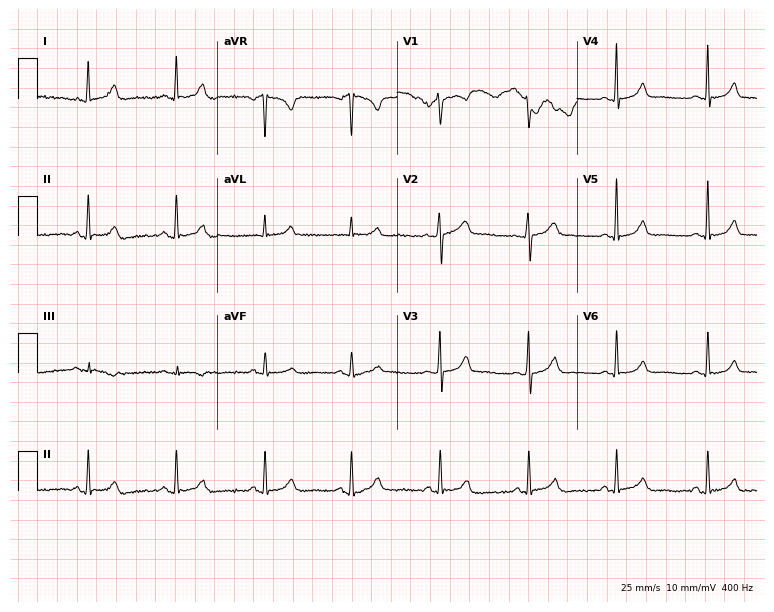
Electrocardiogram, a female, 43 years old. Overall reading on record: normal ECG.